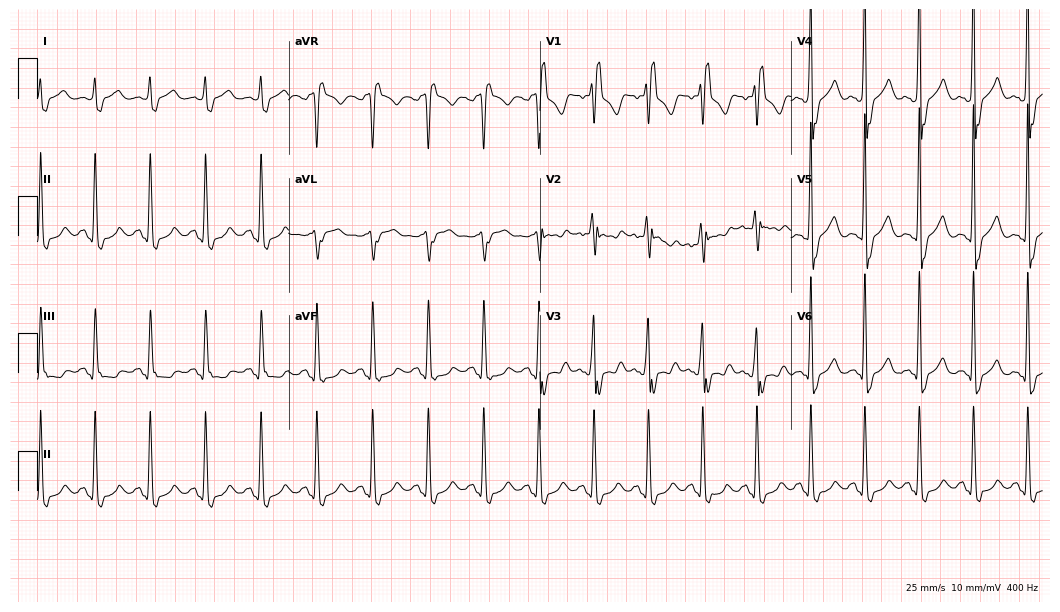
Electrocardiogram, a male patient, 35 years old. Interpretation includes right bundle branch block (RBBB), sinus tachycardia (a sinus rate of 100 beats per minute or more).